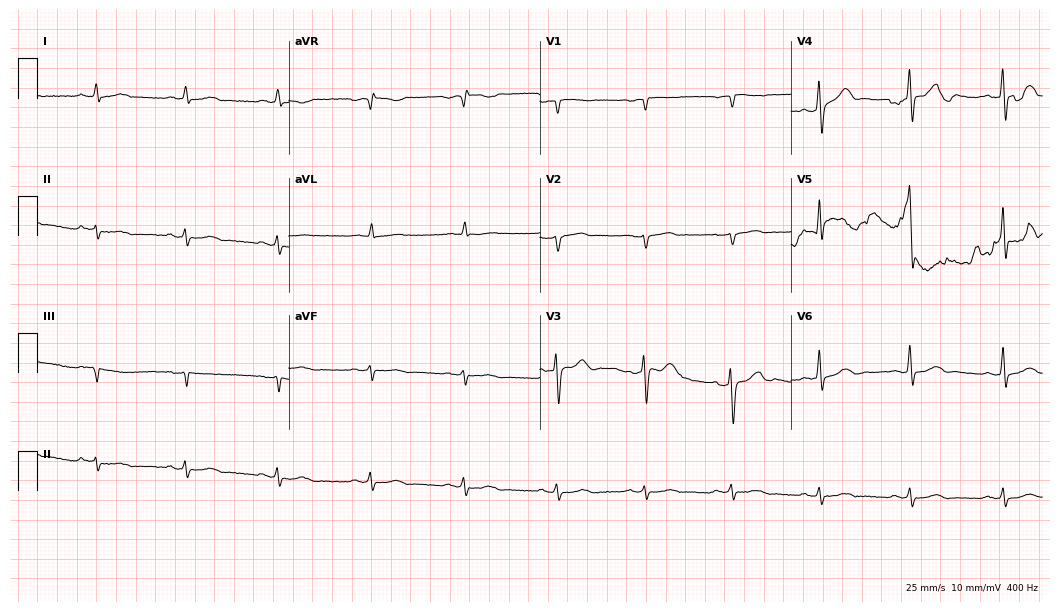
Resting 12-lead electrocardiogram (10.2-second recording at 400 Hz). Patient: a 55-year-old male. Read as a normal ECG.